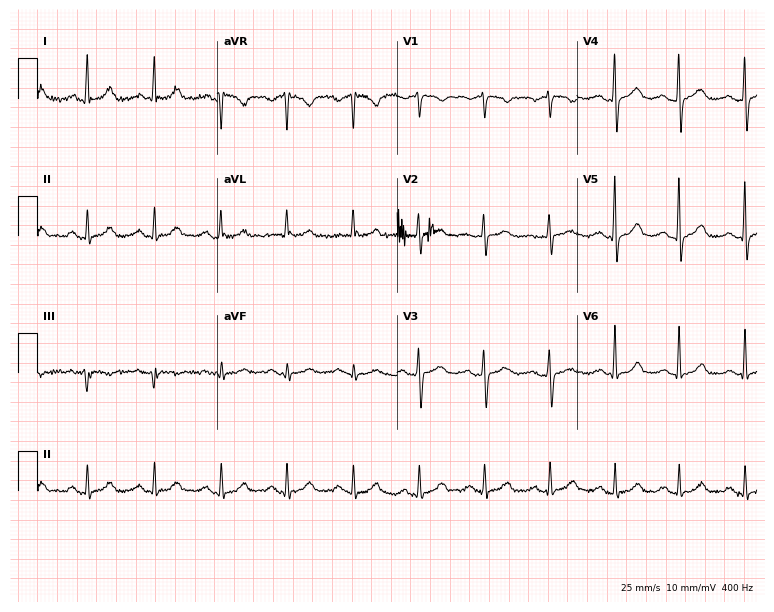
12-lead ECG from a female, 56 years old (7.3-second recording at 400 Hz). No first-degree AV block, right bundle branch block, left bundle branch block, sinus bradycardia, atrial fibrillation or sinus tachycardia recorded for this tracing. Only these six findings were labelled.